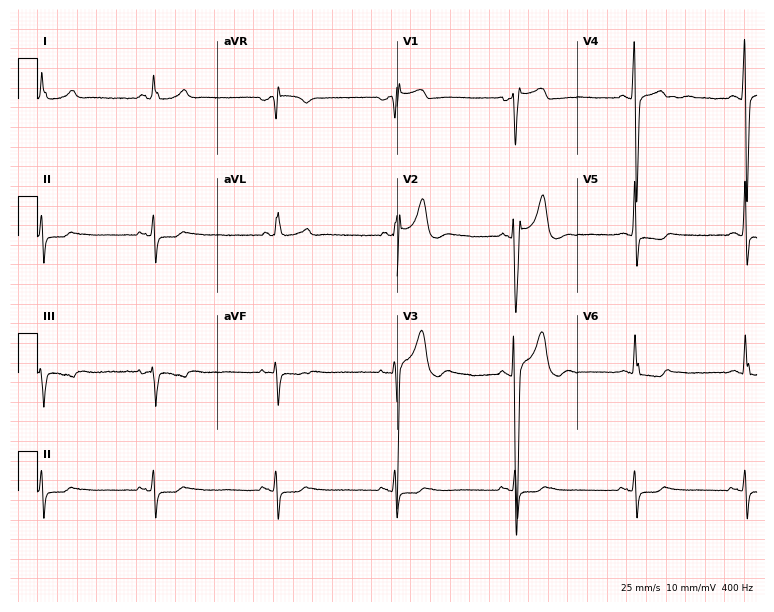
Electrocardiogram (7.3-second recording at 400 Hz), a 27-year-old man. Interpretation includes right bundle branch block.